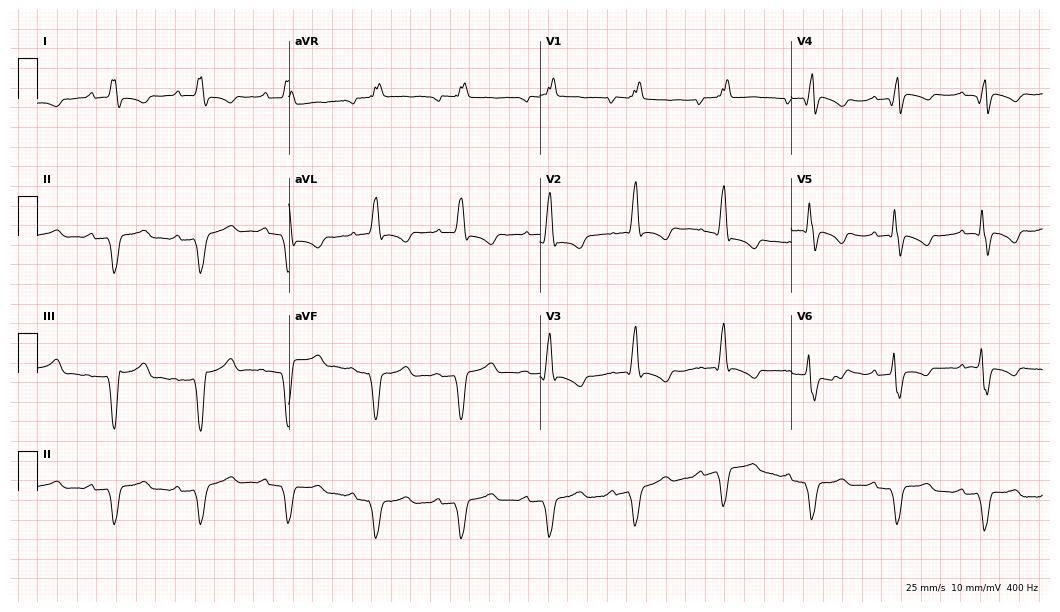
12-lead ECG from a man, 77 years old. Screened for six findings — first-degree AV block, right bundle branch block, left bundle branch block, sinus bradycardia, atrial fibrillation, sinus tachycardia — none is recorded. Findings outside these six are not listed.